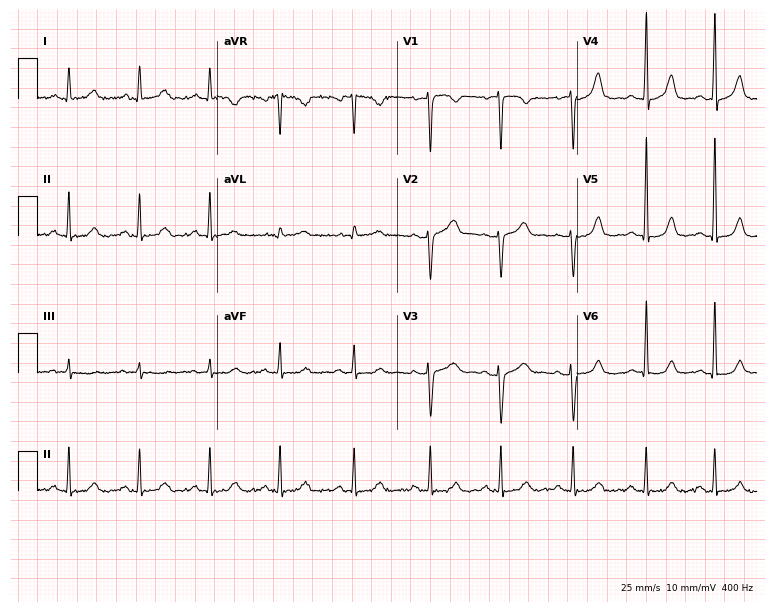
Resting 12-lead electrocardiogram. Patient: a 43-year-old female. Read as a normal ECG.